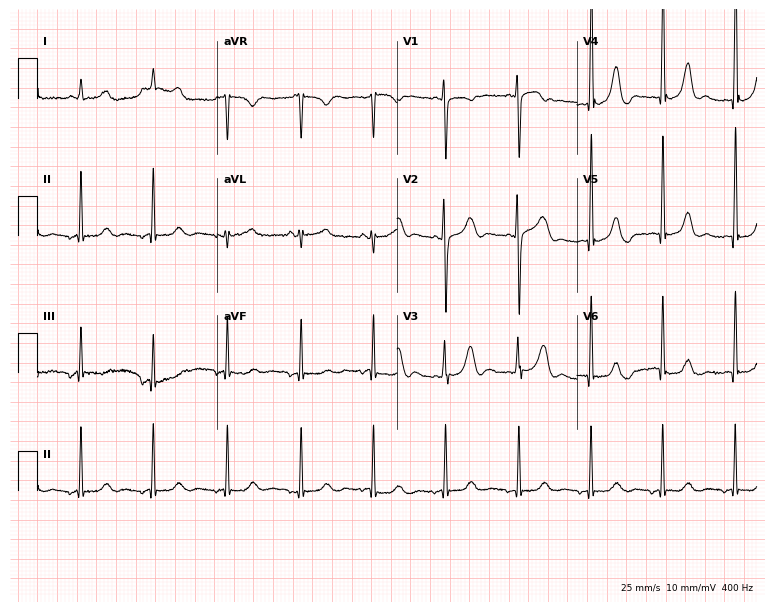
ECG — a 32-year-old female. Labelled as a normal ECG.